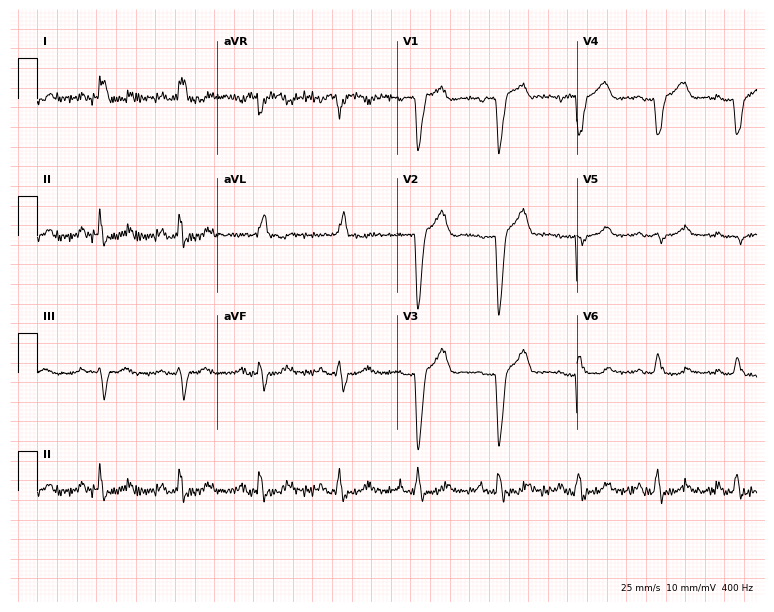
ECG (7.3-second recording at 400 Hz) — a woman, 56 years old. Screened for six findings — first-degree AV block, right bundle branch block (RBBB), left bundle branch block (LBBB), sinus bradycardia, atrial fibrillation (AF), sinus tachycardia — none is recorded. Only these six findings were labelled.